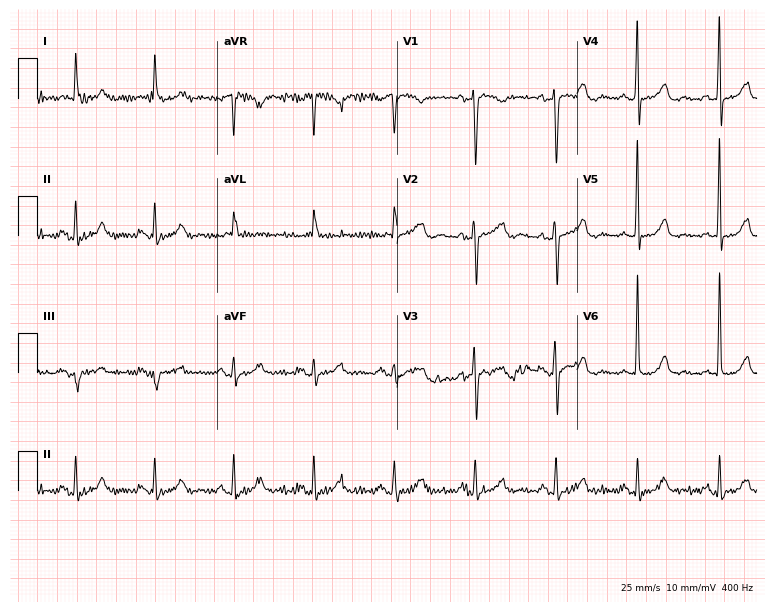
12-lead ECG from a 75-year-old female patient. No first-degree AV block, right bundle branch block, left bundle branch block, sinus bradycardia, atrial fibrillation or sinus tachycardia recorded for this tracing.